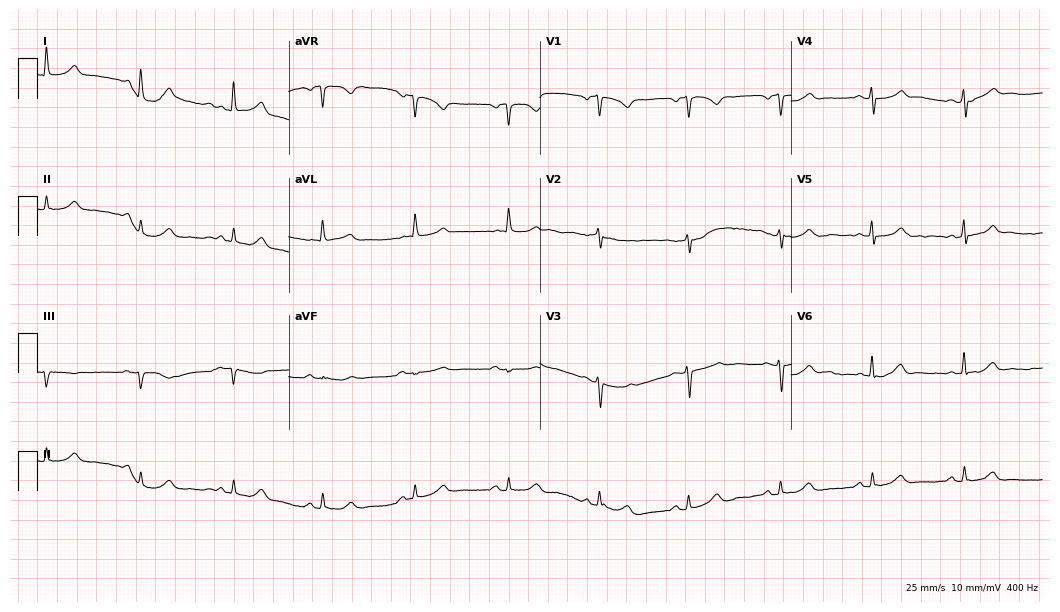
Resting 12-lead electrocardiogram. Patient: a 61-year-old female. Read as a normal ECG.